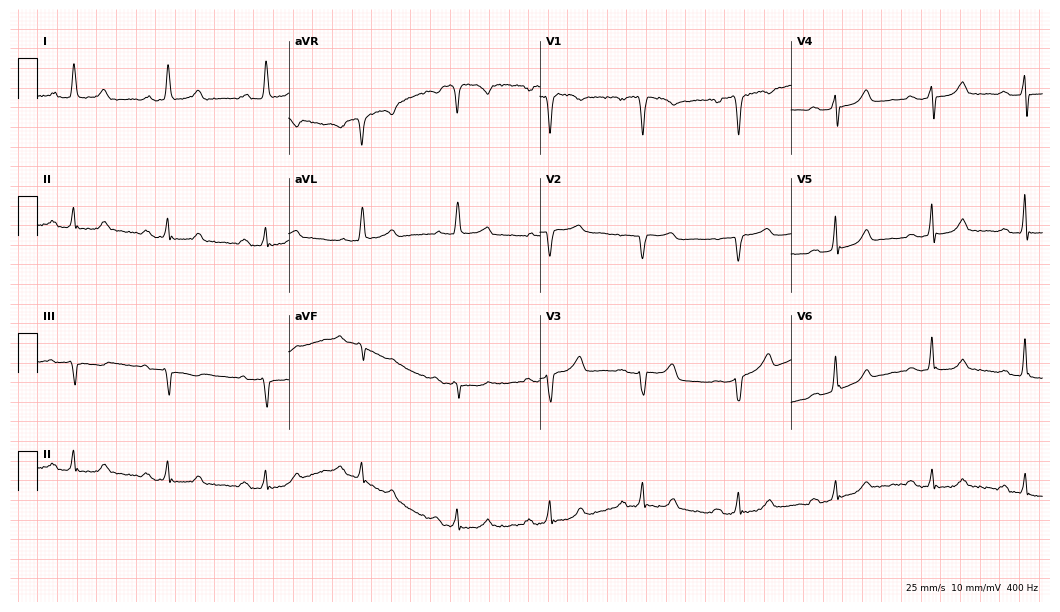
Standard 12-lead ECG recorded from a 61-year-old female. None of these six findings is recorded: first-degree AV block, right bundle branch block, left bundle branch block, sinus bradycardia, atrial fibrillation, sinus tachycardia. Only these six findings were labelled.